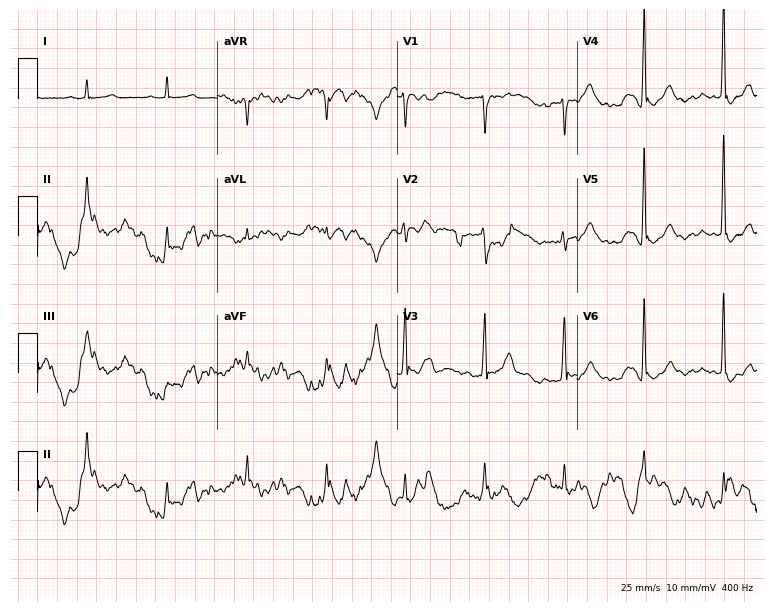
12-lead ECG from a man, 68 years old. No first-degree AV block, right bundle branch block (RBBB), left bundle branch block (LBBB), sinus bradycardia, atrial fibrillation (AF) or sinus tachycardia recorded for this tracing. Findings outside these six are not listed.